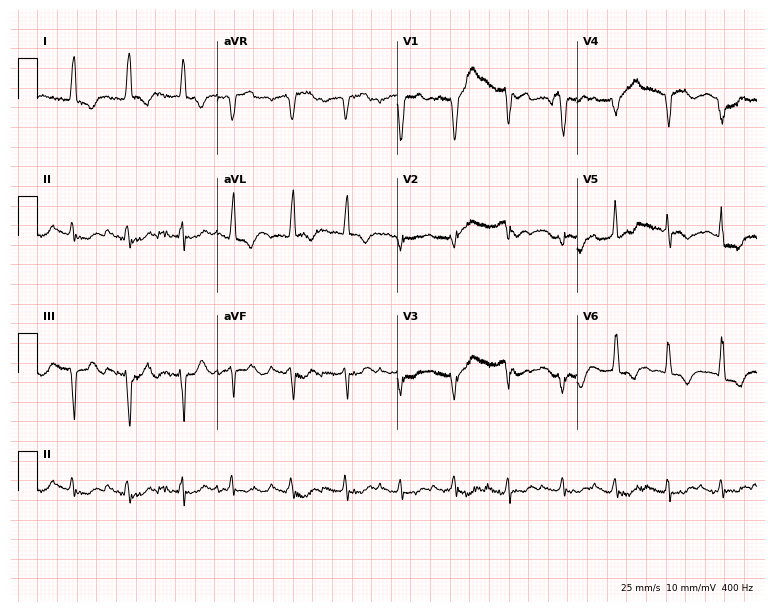
Electrocardiogram, a female patient, 75 years old. Interpretation includes sinus tachycardia (a sinus rate of 100 beats per minute or more).